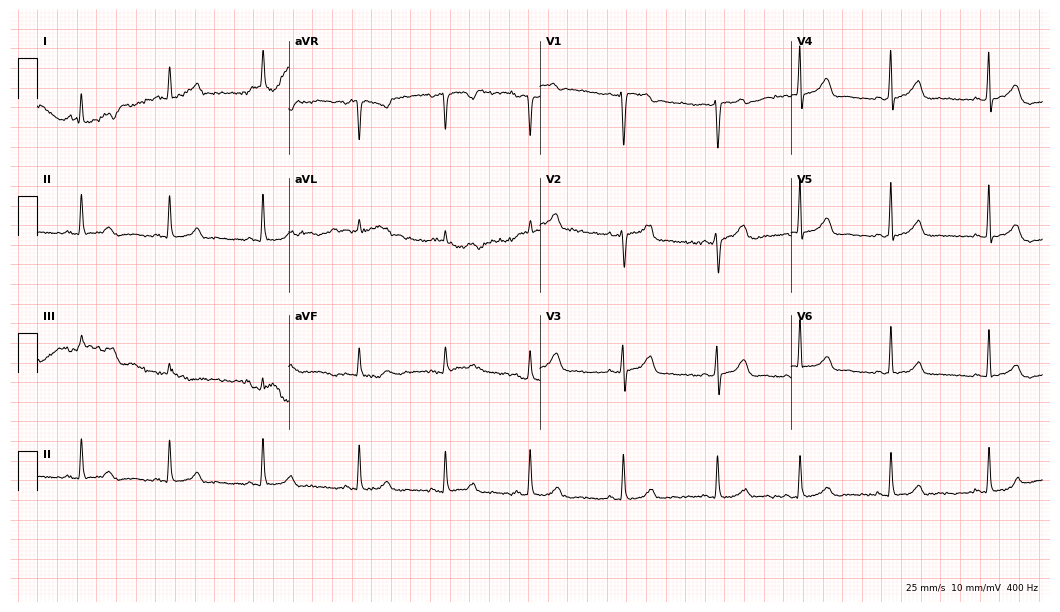
12-lead ECG (10.2-second recording at 400 Hz) from a 43-year-old female patient. Screened for six findings — first-degree AV block, right bundle branch block (RBBB), left bundle branch block (LBBB), sinus bradycardia, atrial fibrillation (AF), sinus tachycardia — none is recorded.